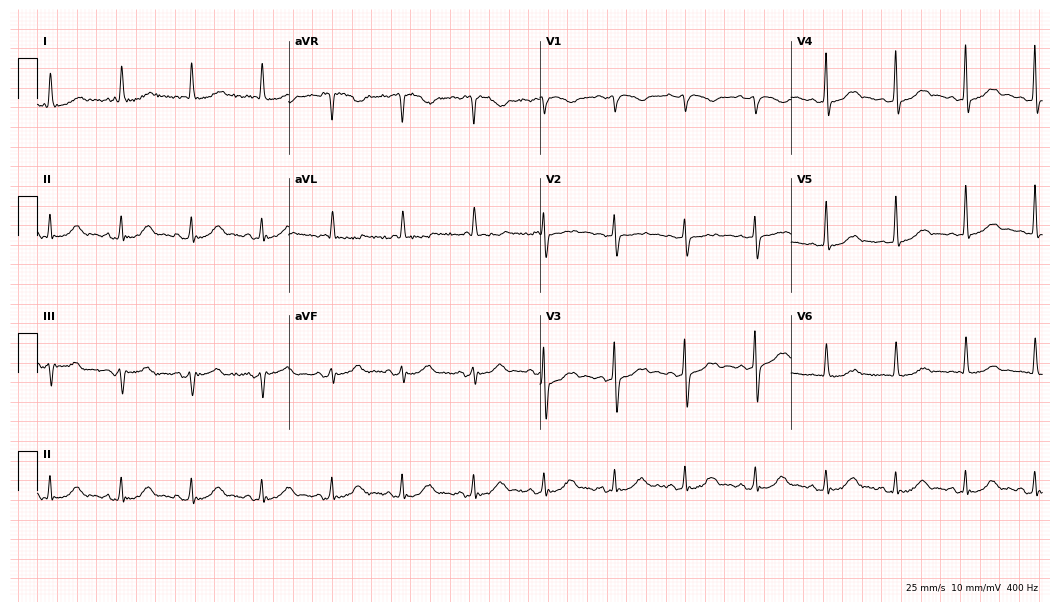
12-lead ECG from a female, 84 years old (10.2-second recording at 400 Hz). No first-degree AV block, right bundle branch block, left bundle branch block, sinus bradycardia, atrial fibrillation or sinus tachycardia recorded for this tracing.